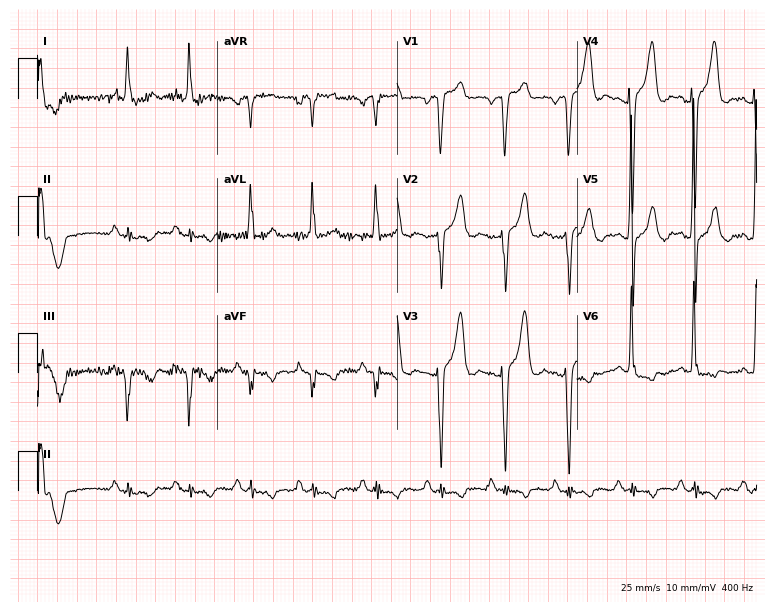
Electrocardiogram (7.3-second recording at 400 Hz), a man, 62 years old. Of the six screened findings (first-degree AV block, right bundle branch block, left bundle branch block, sinus bradycardia, atrial fibrillation, sinus tachycardia), none is recorded. Findings outside these six are not listed.